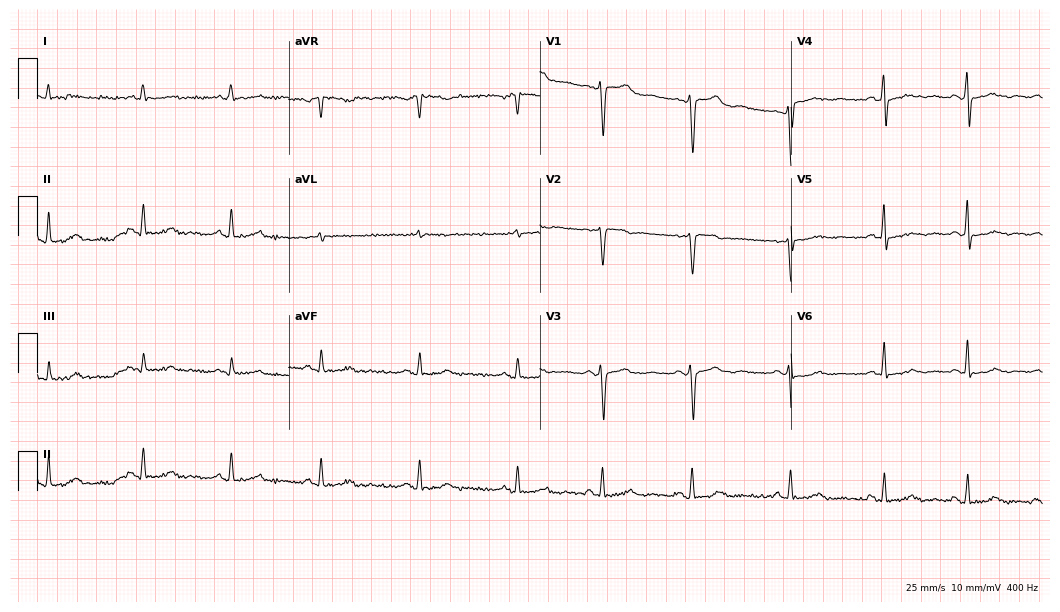
12-lead ECG from a 35-year-old female patient (10.2-second recording at 400 Hz). No first-degree AV block, right bundle branch block, left bundle branch block, sinus bradycardia, atrial fibrillation or sinus tachycardia recorded for this tracing. Findings outside these six are not listed.